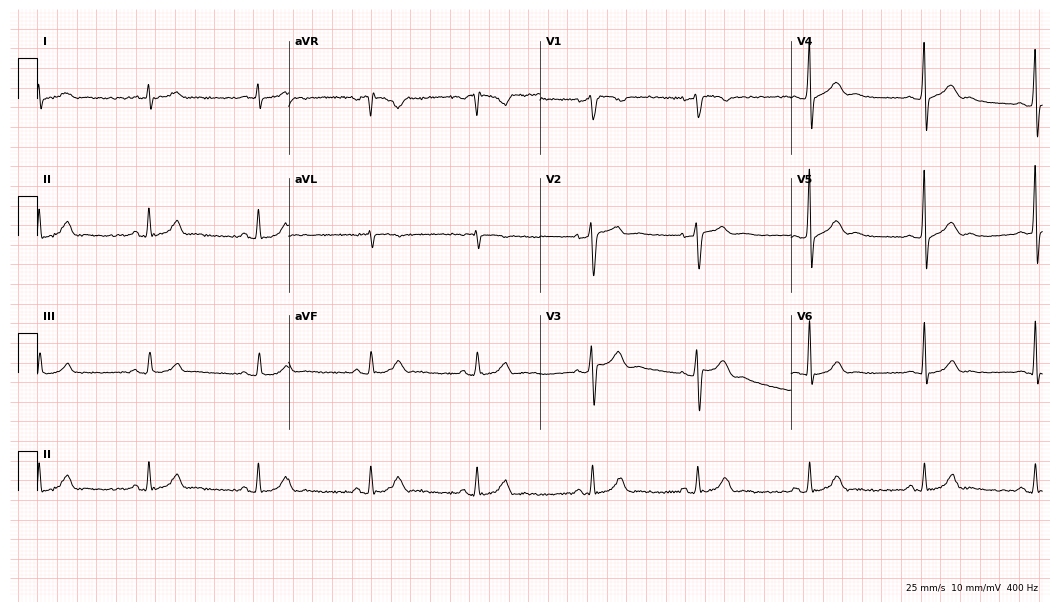
Electrocardiogram (10.2-second recording at 400 Hz), a 30-year-old male. Of the six screened findings (first-degree AV block, right bundle branch block, left bundle branch block, sinus bradycardia, atrial fibrillation, sinus tachycardia), none is recorded. Only these six findings were labelled.